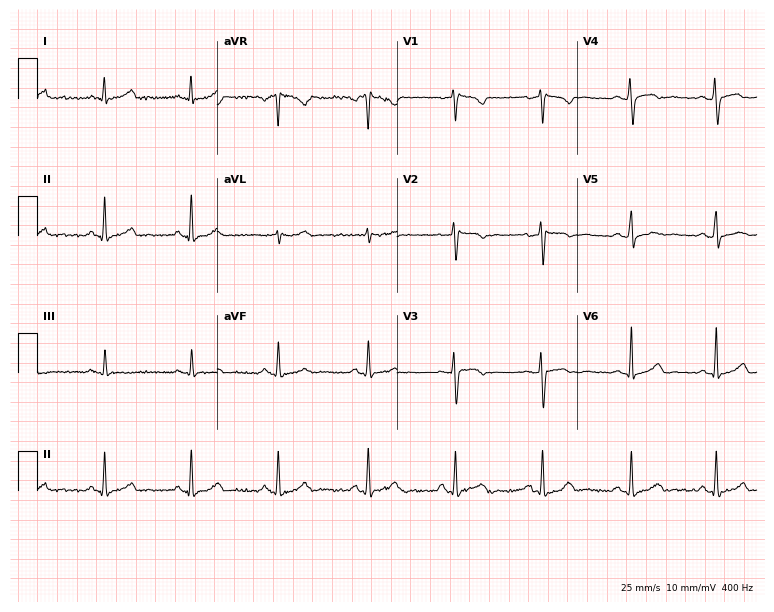
Standard 12-lead ECG recorded from a female patient, 37 years old (7.3-second recording at 400 Hz). Read as a normal ECG.